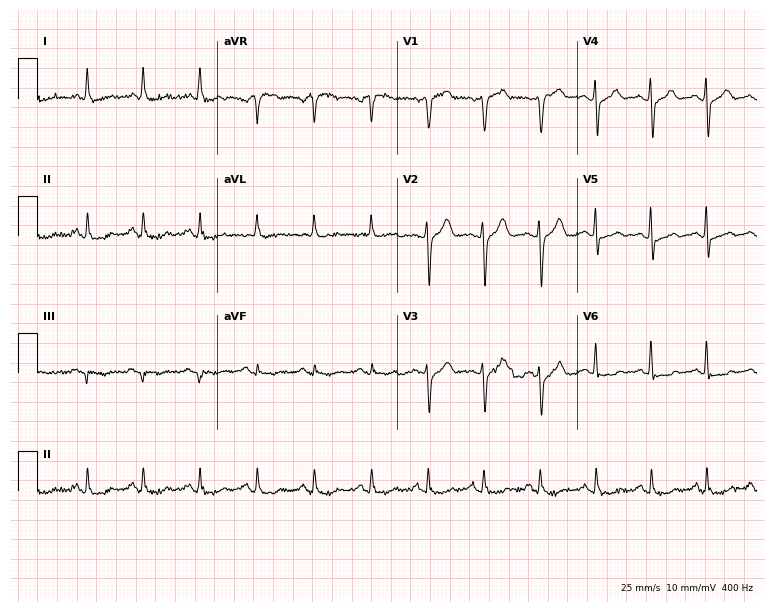
ECG (7.3-second recording at 400 Hz) — a 65-year-old man. Findings include sinus tachycardia (a sinus rate of 100 beats per minute or more).